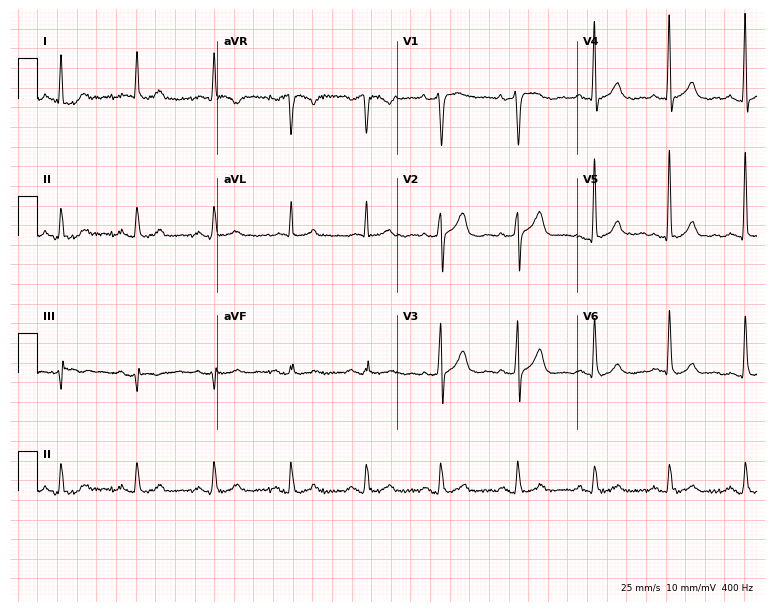
12-lead ECG from a 74-year-old male. Labelled as a normal ECG.